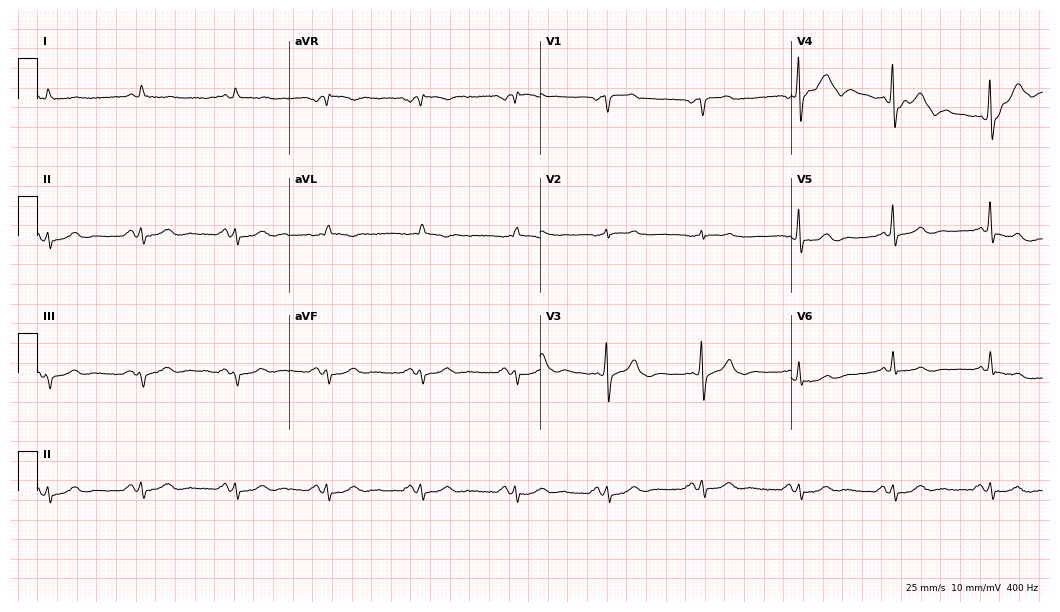
Standard 12-lead ECG recorded from an 84-year-old male (10.2-second recording at 400 Hz). None of these six findings is recorded: first-degree AV block, right bundle branch block, left bundle branch block, sinus bradycardia, atrial fibrillation, sinus tachycardia. Findings outside these six are not listed.